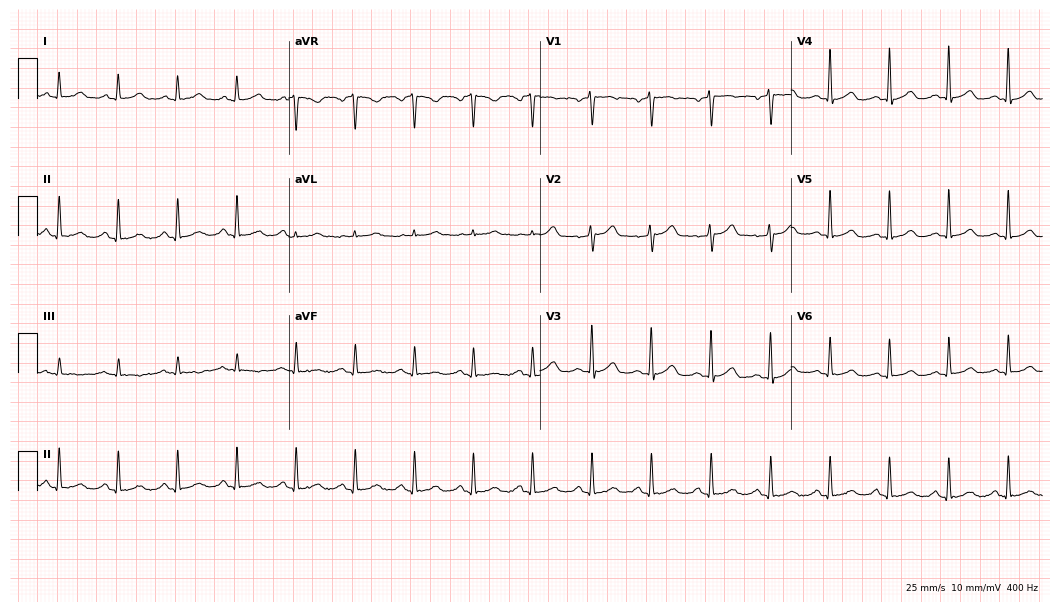
12-lead ECG from a 55-year-old female patient. Labelled as a normal ECG.